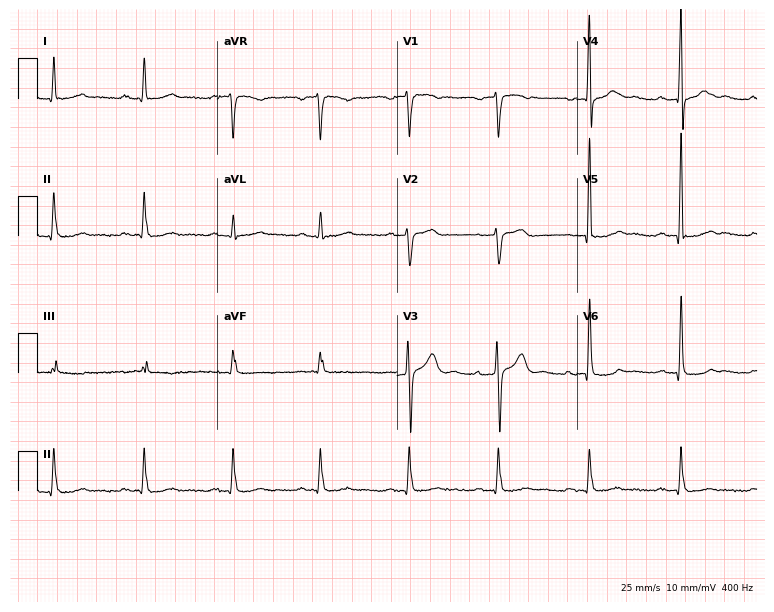
Electrocardiogram, a 62-year-old male. Overall reading on record: normal ECG.